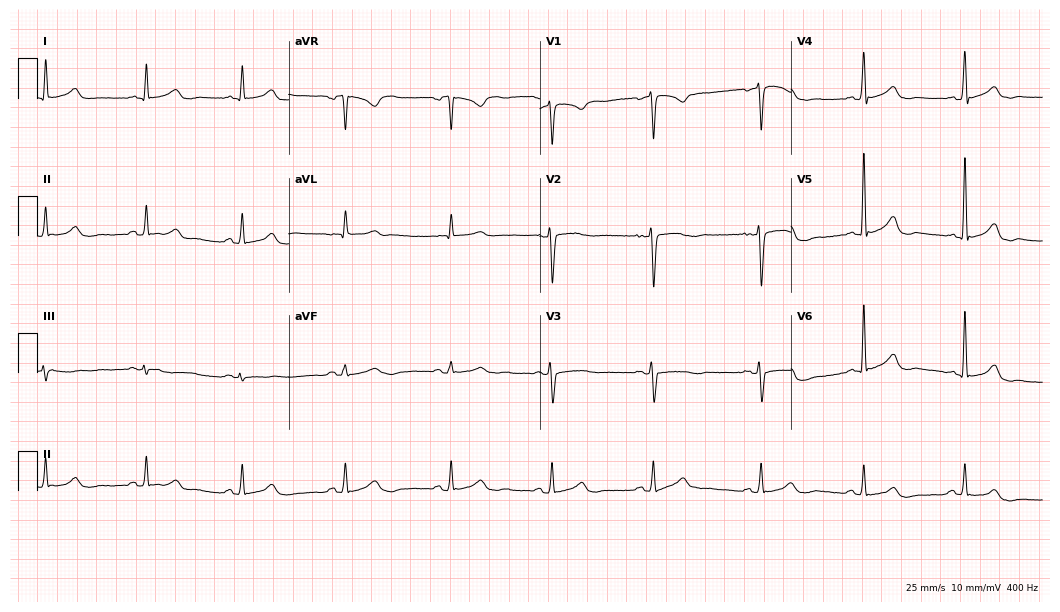
ECG (10.2-second recording at 400 Hz) — a female, 49 years old. Labelled as a normal ECG.